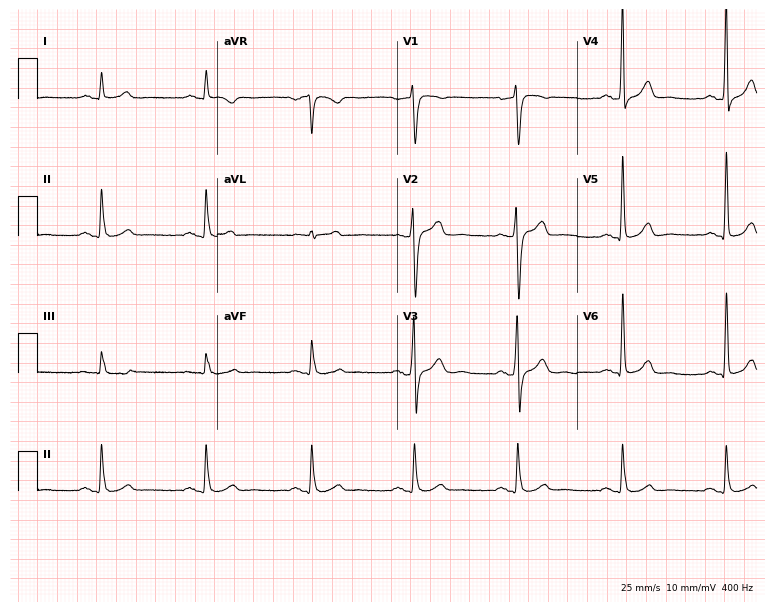
Standard 12-lead ECG recorded from a male, 65 years old. None of these six findings is recorded: first-degree AV block, right bundle branch block, left bundle branch block, sinus bradycardia, atrial fibrillation, sinus tachycardia. Findings outside these six are not listed.